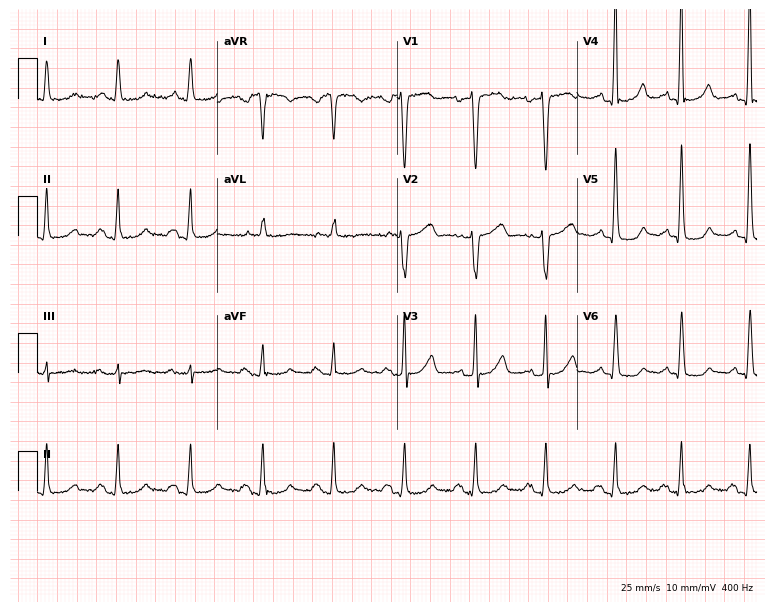
Resting 12-lead electrocardiogram. Patient: a 44-year-old female. None of these six findings is recorded: first-degree AV block, right bundle branch block, left bundle branch block, sinus bradycardia, atrial fibrillation, sinus tachycardia. Other findings, if any, are not listed.